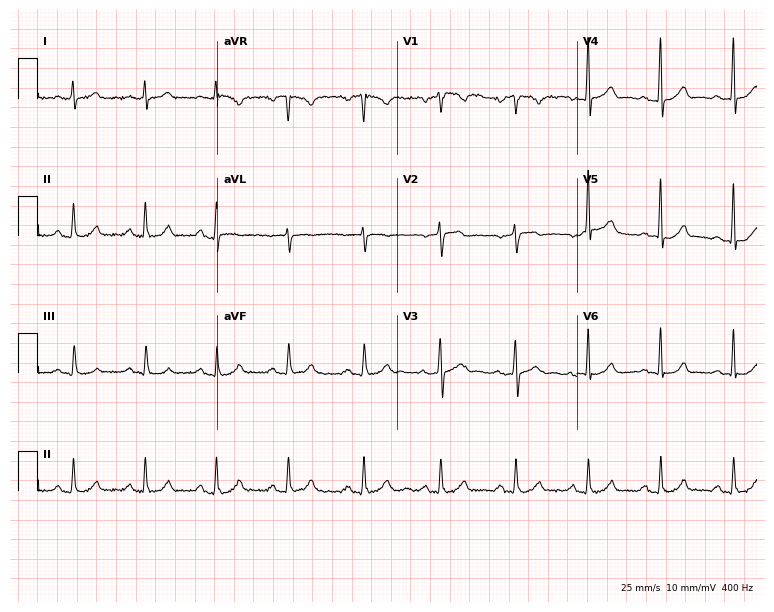
12-lead ECG from a 56-year-old man. Labelled as a normal ECG.